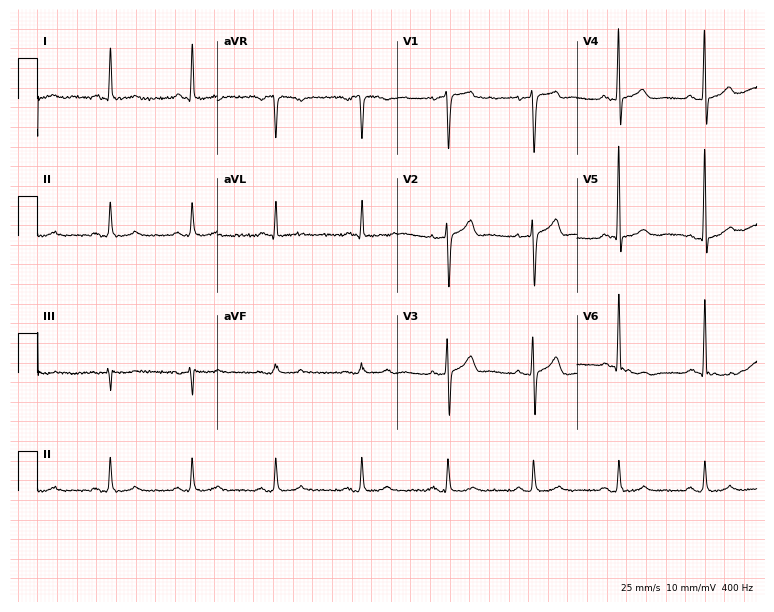
12-lead ECG from a male, 69 years old. Recorded interpretation: within normal limits.